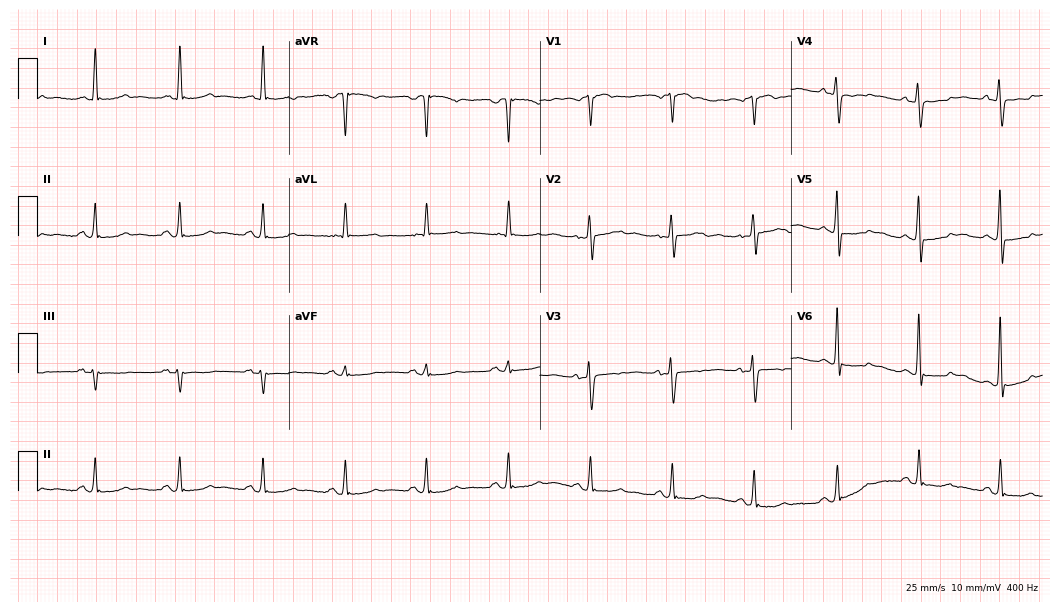
Standard 12-lead ECG recorded from a 78-year-old woman. None of these six findings is recorded: first-degree AV block, right bundle branch block, left bundle branch block, sinus bradycardia, atrial fibrillation, sinus tachycardia. Only these six findings were labelled.